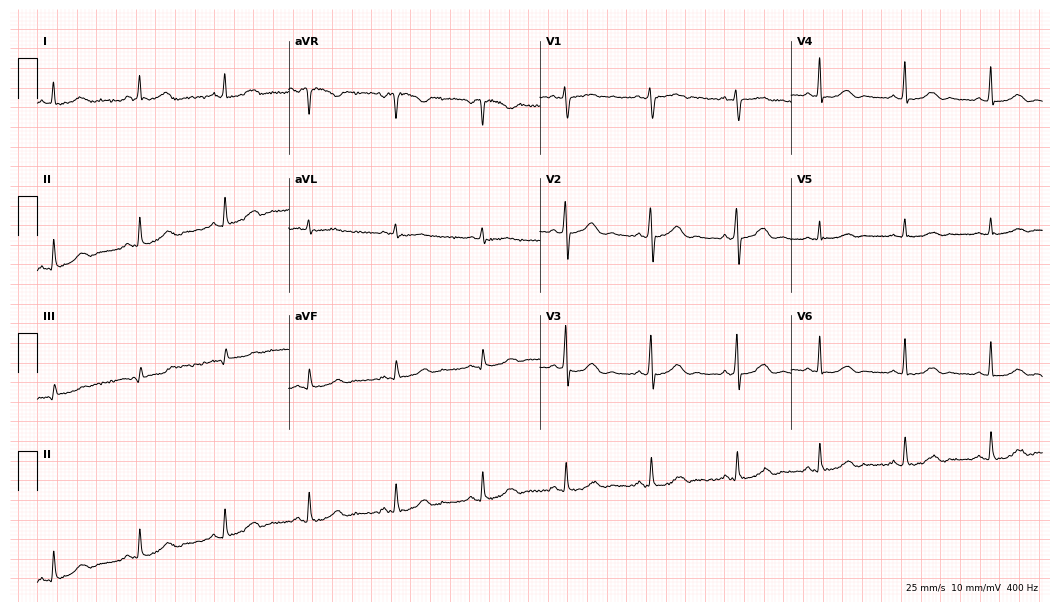
12-lead ECG from a 41-year-old female patient. Labelled as a normal ECG.